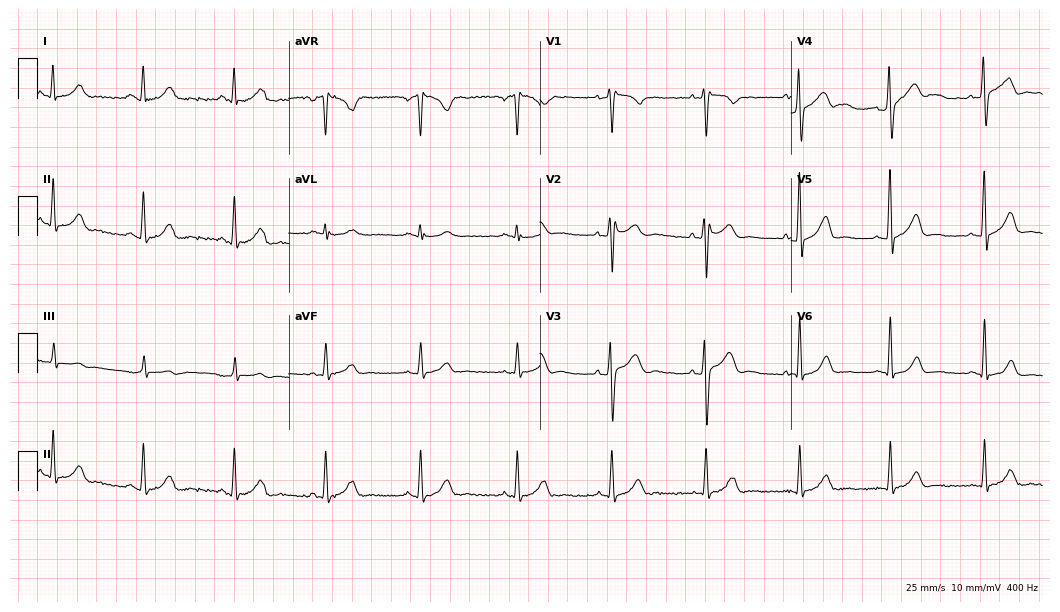
12-lead ECG from a 36-year-old man. No first-degree AV block, right bundle branch block (RBBB), left bundle branch block (LBBB), sinus bradycardia, atrial fibrillation (AF) or sinus tachycardia recorded for this tracing.